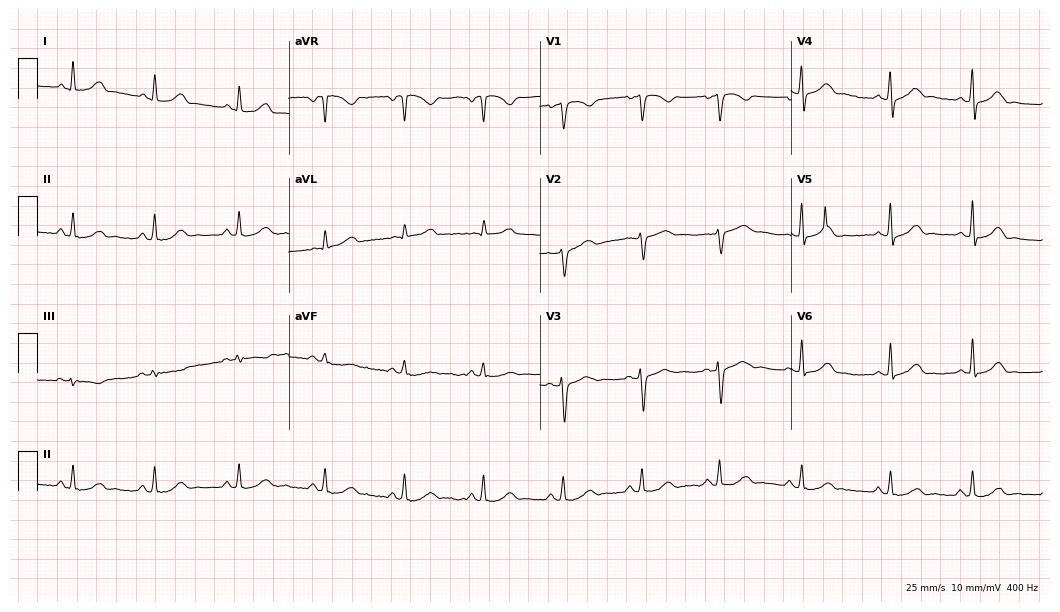
Resting 12-lead electrocardiogram (10.2-second recording at 400 Hz). Patient: a female, 49 years old. Read as a normal ECG.